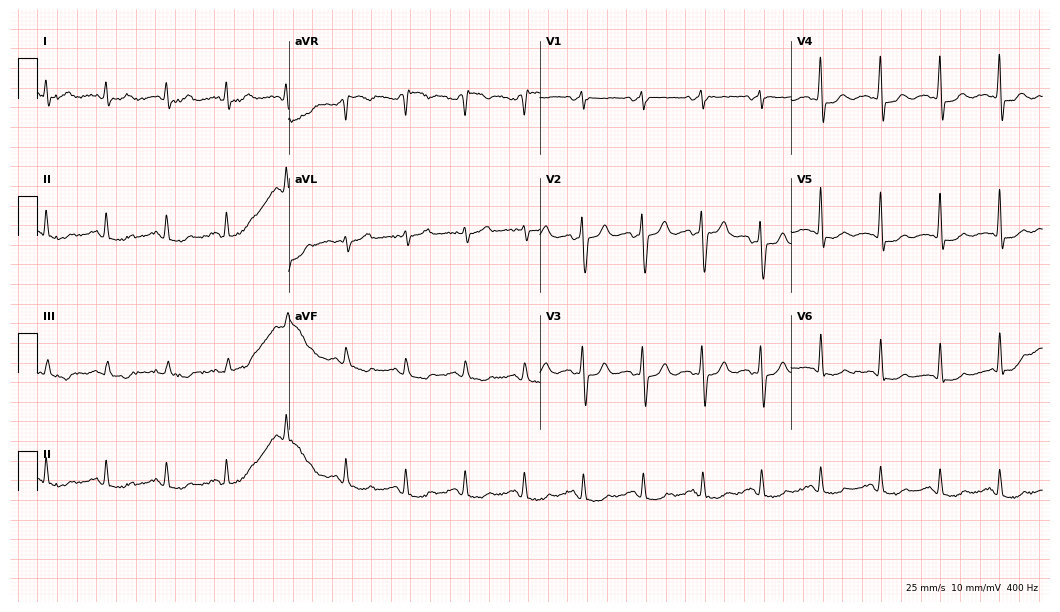
12-lead ECG from a female, 58 years old. Screened for six findings — first-degree AV block, right bundle branch block, left bundle branch block, sinus bradycardia, atrial fibrillation, sinus tachycardia — none is recorded.